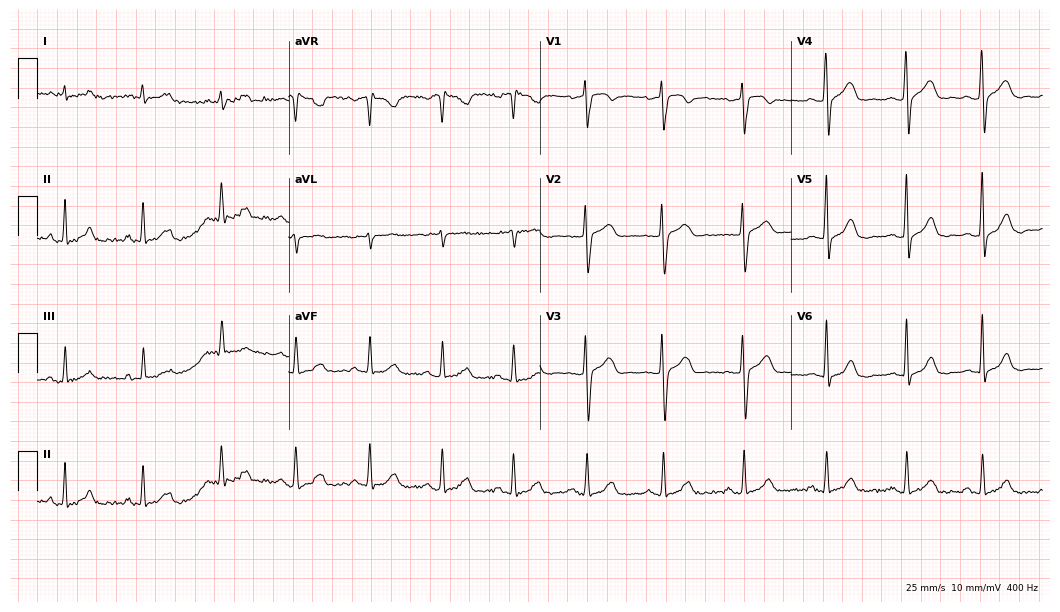
Standard 12-lead ECG recorded from a 51-year-old male. Read as a normal ECG.